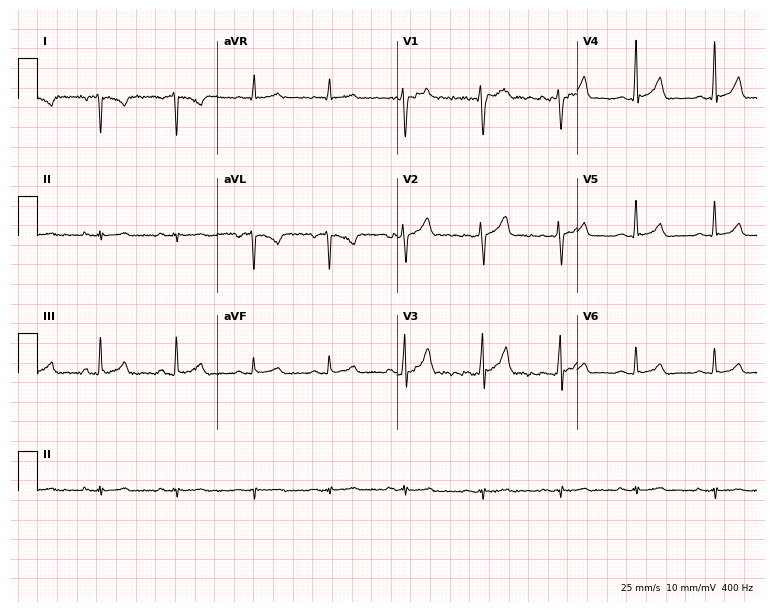
12-lead ECG from a male patient, 25 years old. Screened for six findings — first-degree AV block, right bundle branch block, left bundle branch block, sinus bradycardia, atrial fibrillation, sinus tachycardia — none is recorded. Findings outside these six are not listed.